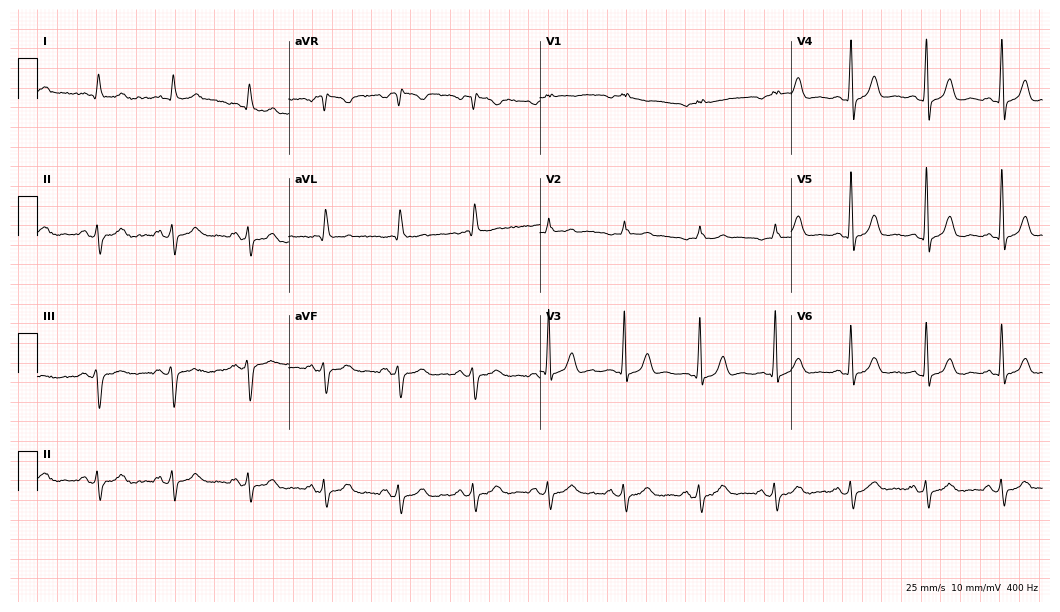
Standard 12-lead ECG recorded from an 82-year-old woman. None of these six findings is recorded: first-degree AV block, right bundle branch block, left bundle branch block, sinus bradycardia, atrial fibrillation, sinus tachycardia.